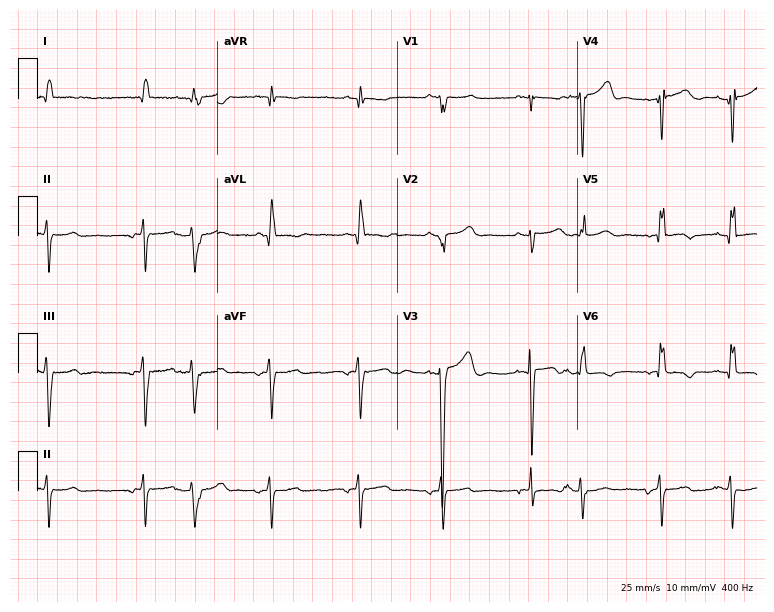
Standard 12-lead ECG recorded from a male patient, 80 years old. None of these six findings is recorded: first-degree AV block, right bundle branch block, left bundle branch block, sinus bradycardia, atrial fibrillation, sinus tachycardia. Other findings, if any, are not listed.